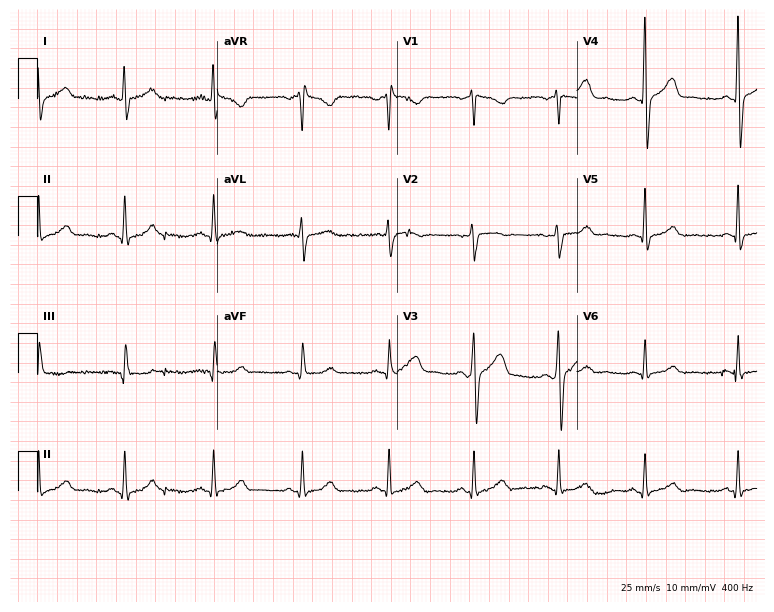
Resting 12-lead electrocardiogram. Patient: a 39-year-old man. Read as a normal ECG.